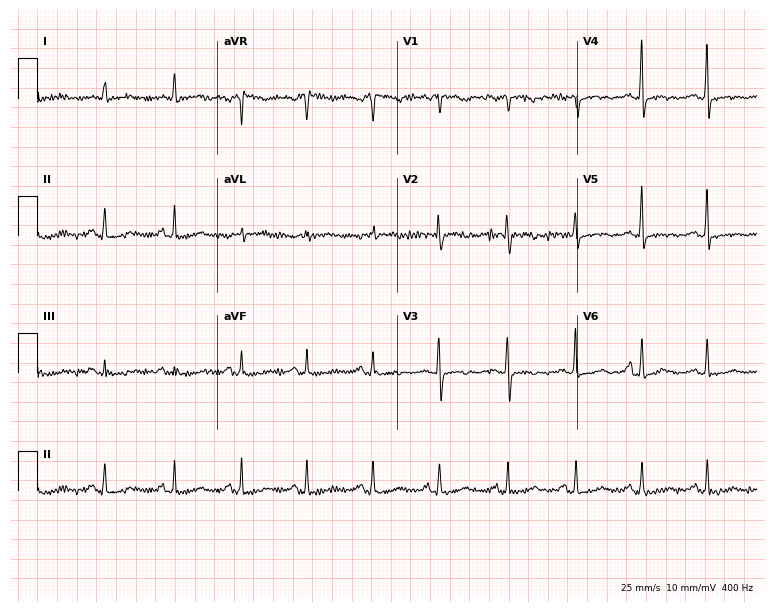
Resting 12-lead electrocardiogram (7.3-second recording at 400 Hz). Patient: a 56-year-old woman. None of these six findings is recorded: first-degree AV block, right bundle branch block (RBBB), left bundle branch block (LBBB), sinus bradycardia, atrial fibrillation (AF), sinus tachycardia.